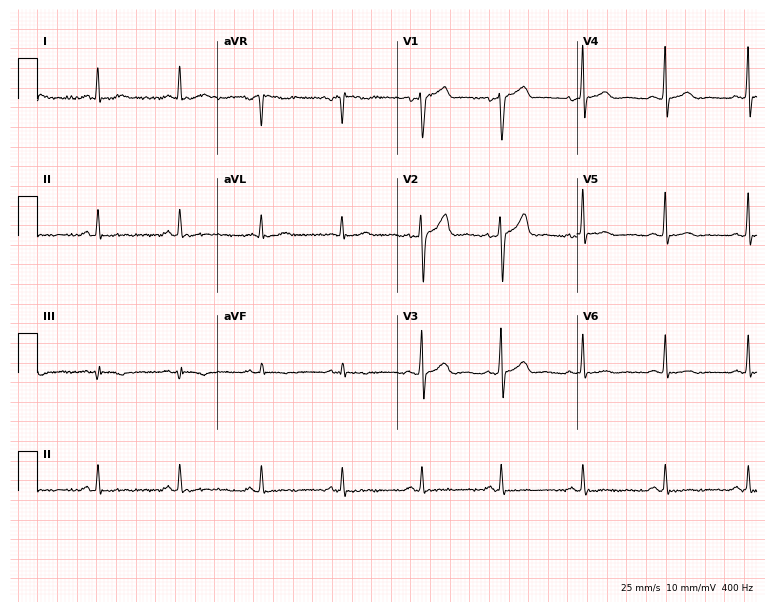
Electrocardiogram, a male patient, 46 years old. Of the six screened findings (first-degree AV block, right bundle branch block, left bundle branch block, sinus bradycardia, atrial fibrillation, sinus tachycardia), none is recorded.